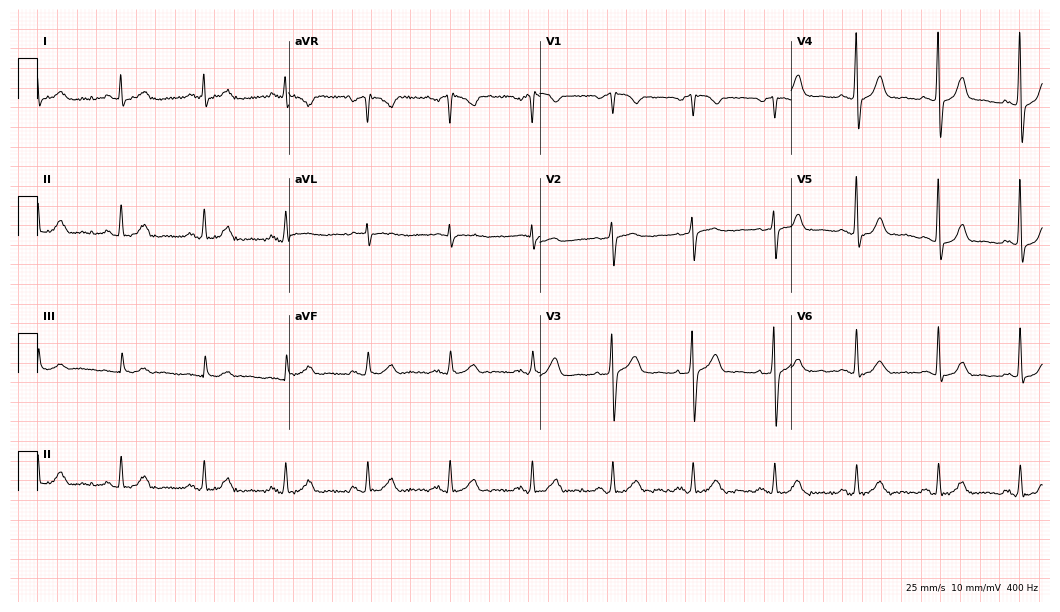
12-lead ECG from a man, 65 years old (10.2-second recording at 400 Hz). Recorded interpretation: within normal limits.